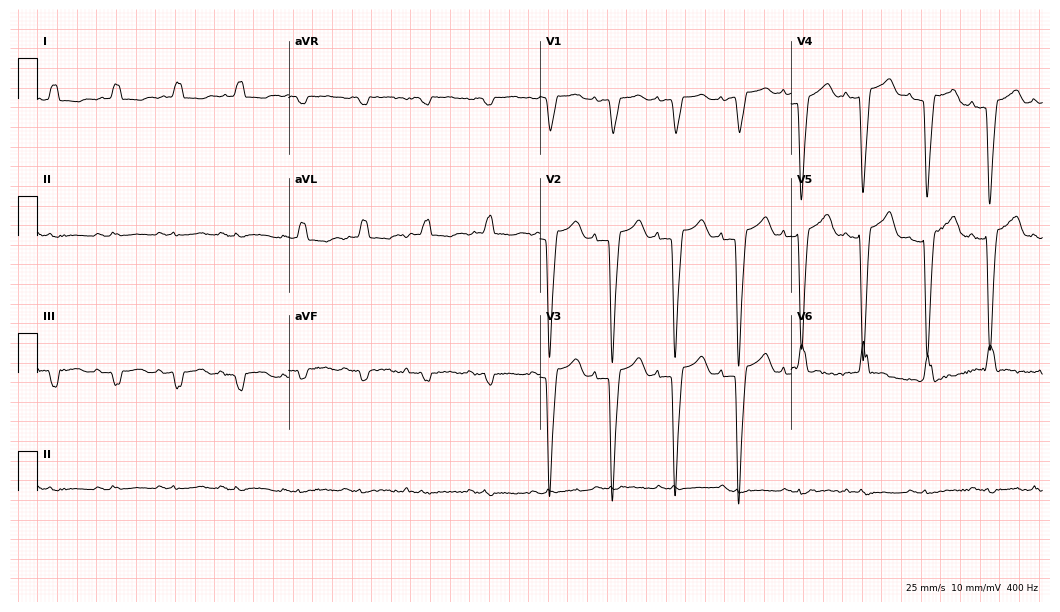
12-lead ECG from a female patient, 66 years old. Shows left bundle branch block (LBBB).